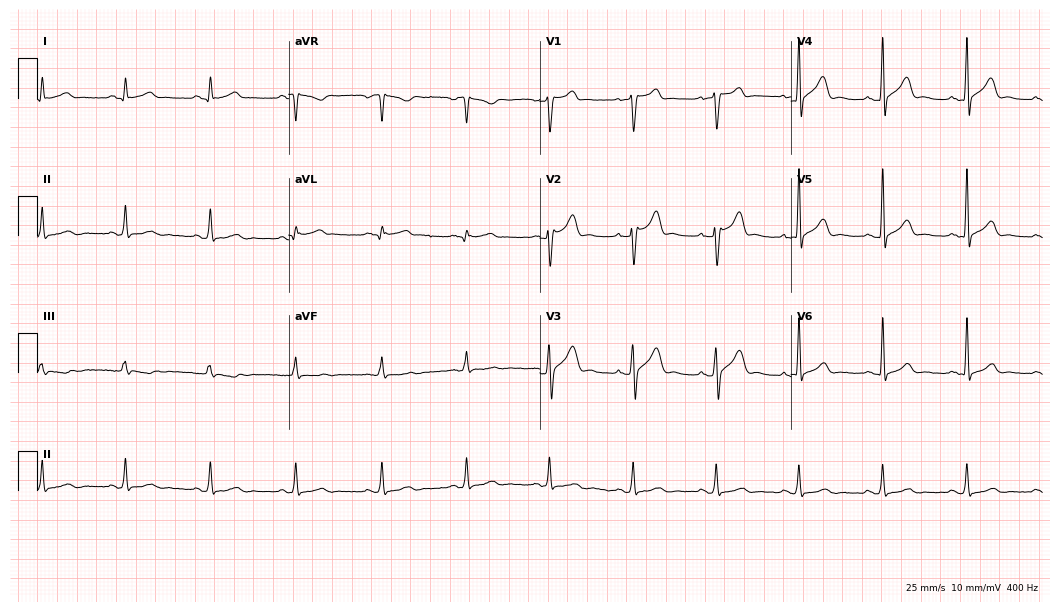
12-lead ECG from a female patient, 37 years old. Labelled as a normal ECG.